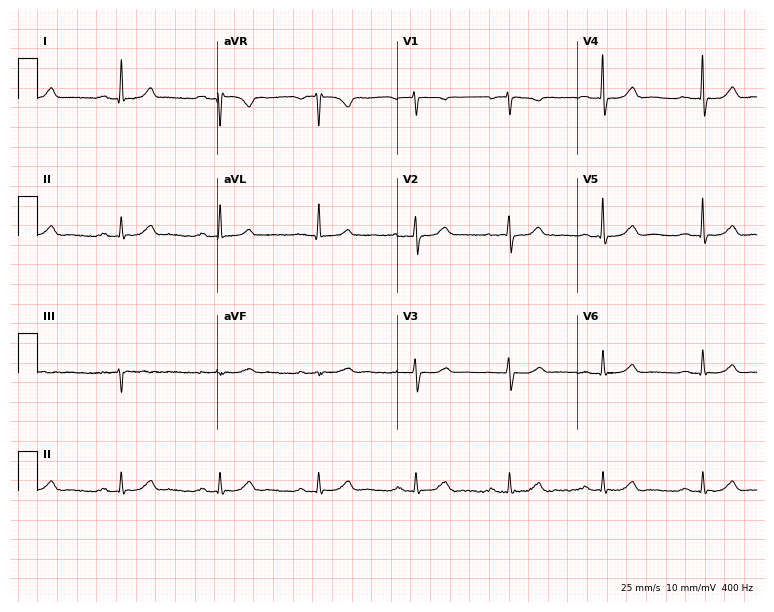
Resting 12-lead electrocardiogram. Patient: a female, 71 years old. Read as a normal ECG.